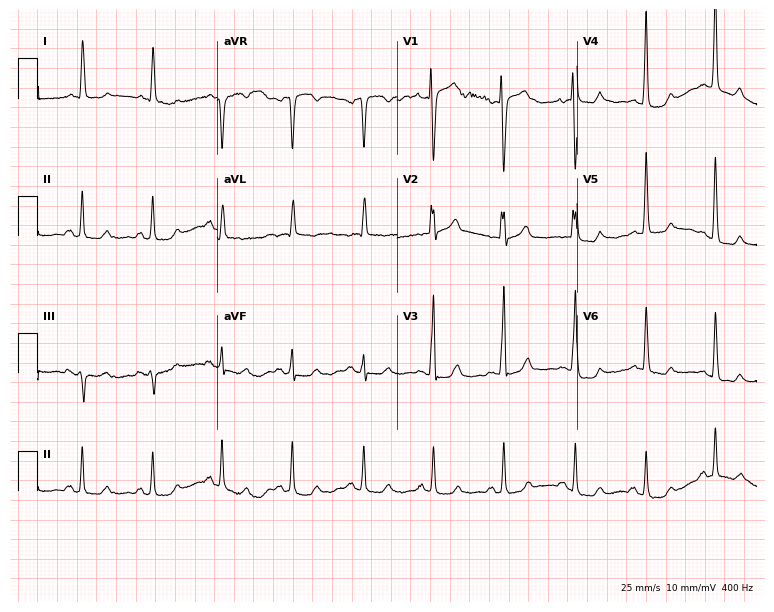
12-lead ECG from a woman, 79 years old. Screened for six findings — first-degree AV block, right bundle branch block, left bundle branch block, sinus bradycardia, atrial fibrillation, sinus tachycardia — none is recorded. Other findings, if any, are not listed.